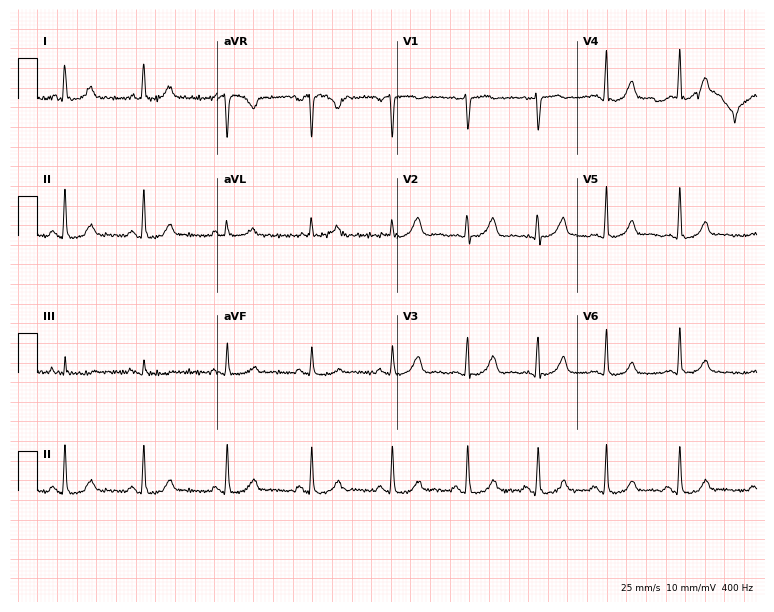
Electrocardiogram (7.3-second recording at 400 Hz), a 39-year-old female. Of the six screened findings (first-degree AV block, right bundle branch block, left bundle branch block, sinus bradycardia, atrial fibrillation, sinus tachycardia), none is recorded.